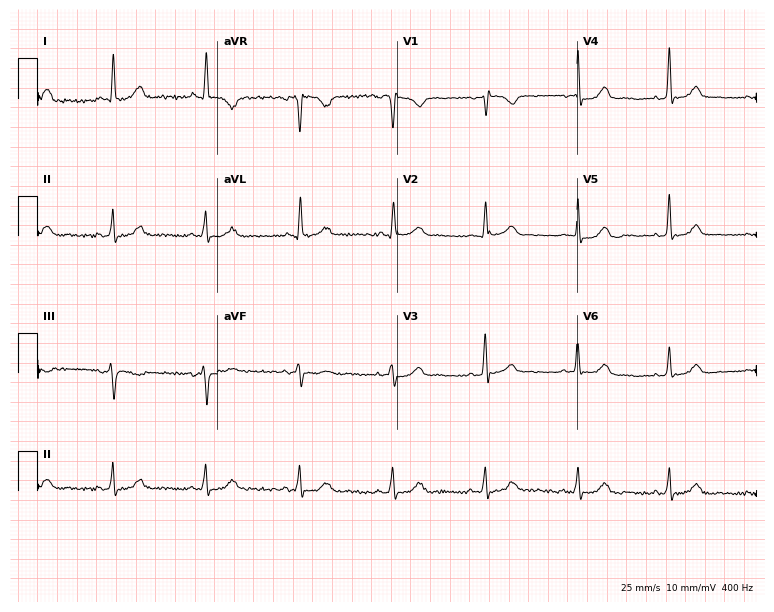
Electrocardiogram (7.3-second recording at 400 Hz), a woman, 56 years old. Of the six screened findings (first-degree AV block, right bundle branch block, left bundle branch block, sinus bradycardia, atrial fibrillation, sinus tachycardia), none is recorded.